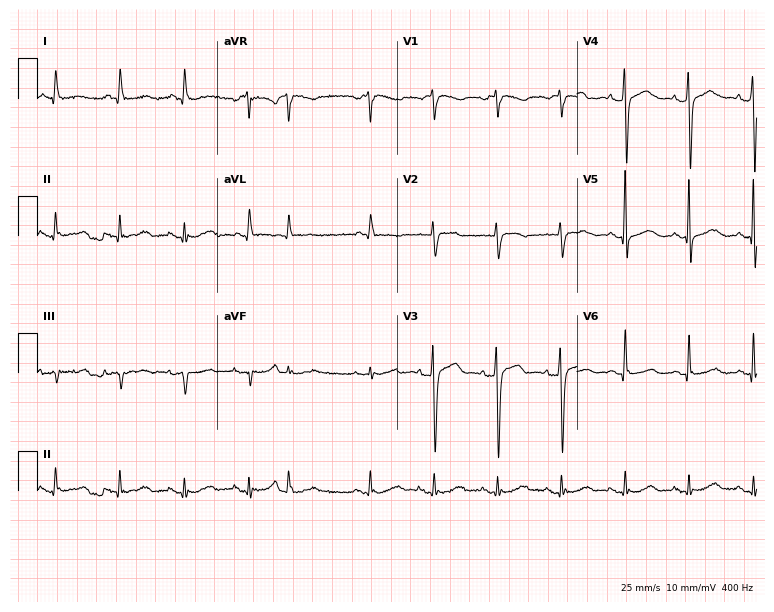
Resting 12-lead electrocardiogram. Patient: a woman, 80 years old. None of these six findings is recorded: first-degree AV block, right bundle branch block (RBBB), left bundle branch block (LBBB), sinus bradycardia, atrial fibrillation (AF), sinus tachycardia.